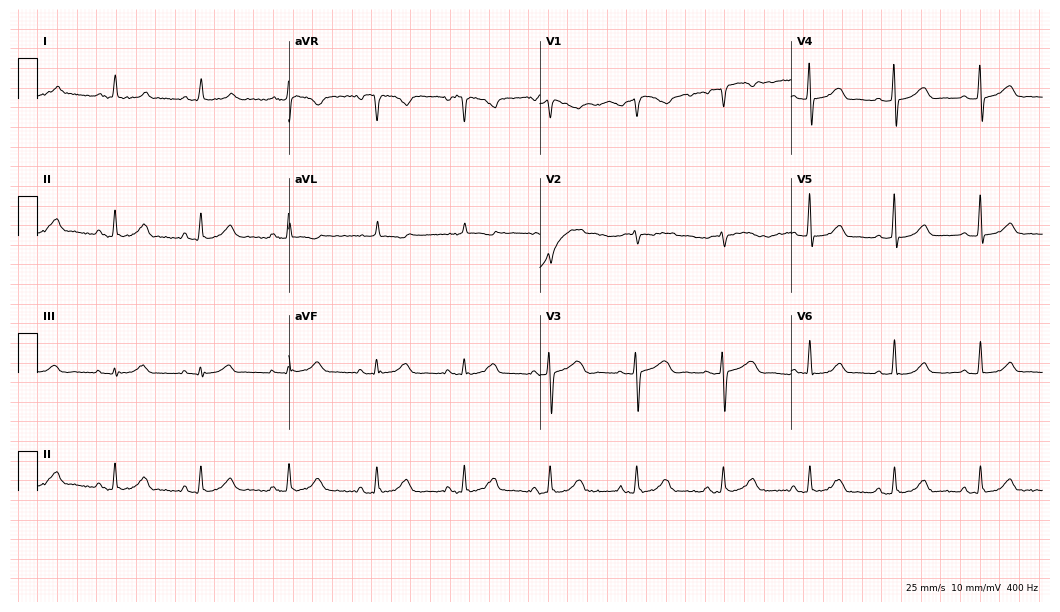
Resting 12-lead electrocardiogram (10.2-second recording at 400 Hz). Patient: an 82-year-old woman. Read as a normal ECG.